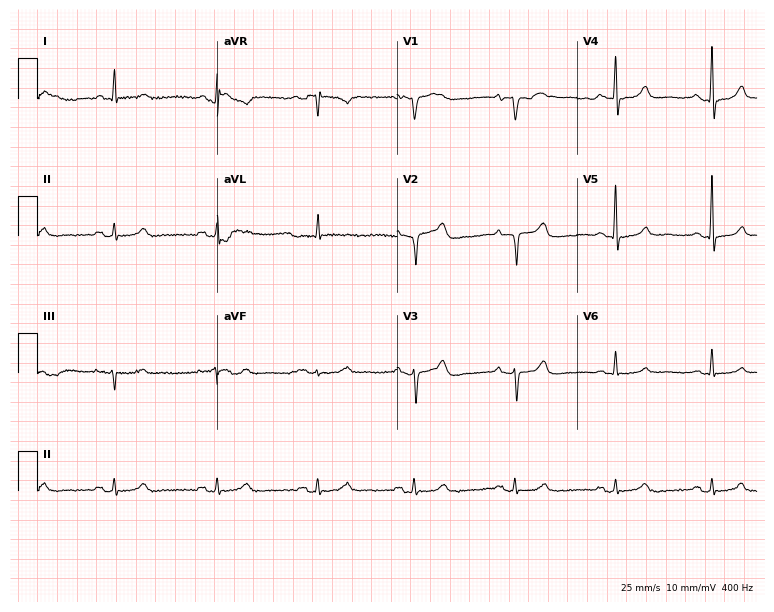
12-lead ECG (7.3-second recording at 400 Hz) from a male patient, 67 years old. Screened for six findings — first-degree AV block, right bundle branch block, left bundle branch block, sinus bradycardia, atrial fibrillation, sinus tachycardia — none is recorded. Other findings, if any, are not listed.